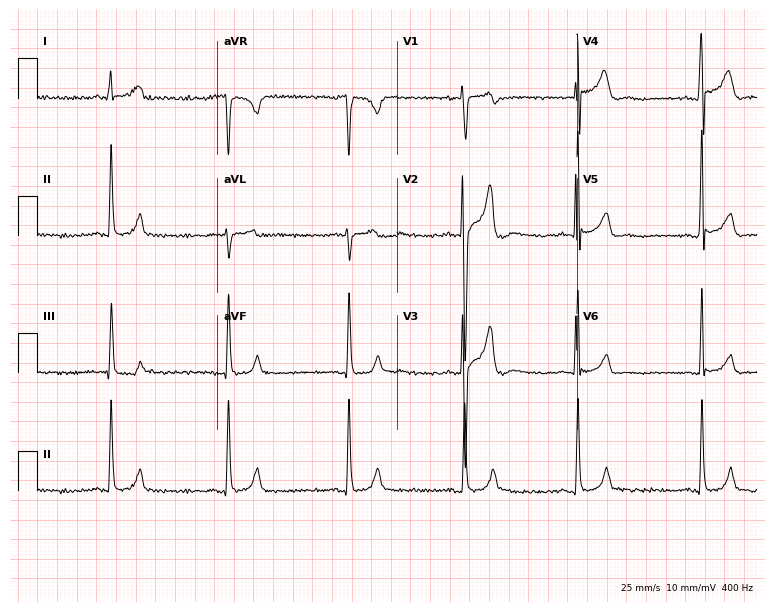
ECG — a male patient, 24 years old. Findings include sinus bradycardia (a sinus rate of 50 beats per minute or less).